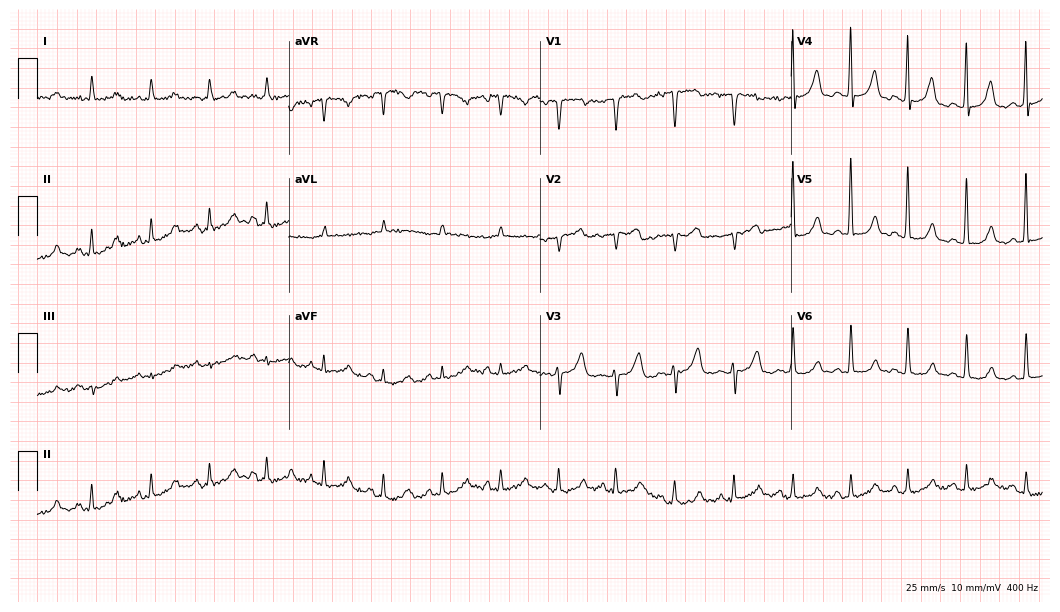
Standard 12-lead ECG recorded from a female, 70 years old (10.2-second recording at 400 Hz). The tracing shows sinus tachycardia (a sinus rate of 100 beats per minute or more).